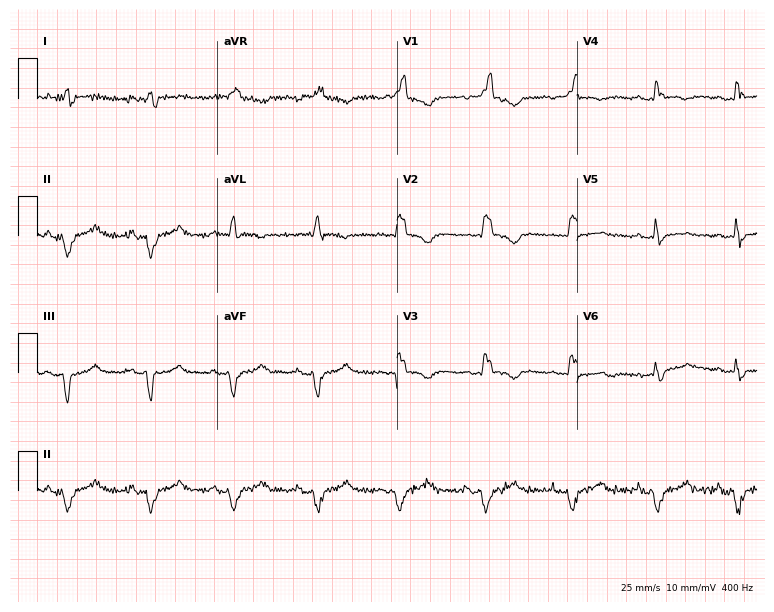
Electrocardiogram (7.3-second recording at 400 Hz), a 72-year-old female patient. Of the six screened findings (first-degree AV block, right bundle branch block, left bundle branch block, sinus bradycardia, atrial fibrillation, sinus tachycardia), none is recorded. Other findings, if any, are not listed.